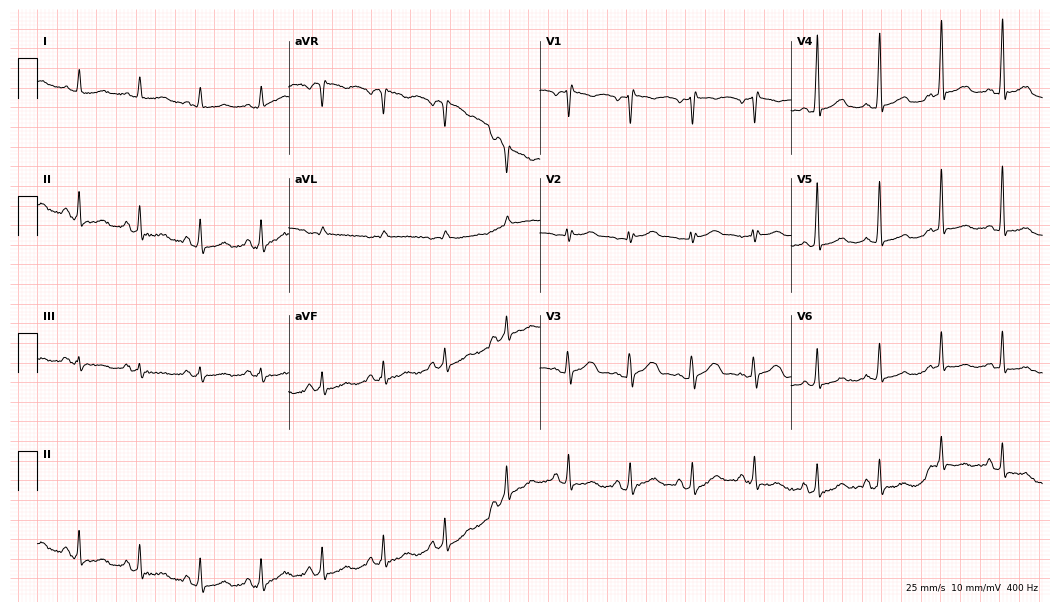
12-lead ECG from a 46-year-old female. Screened for six findings — first-degree AV block, right bundle branch block (RBBB), left bundle branch block (LBBB), sinus bradycardia, atrial fibrillation (AF), sinus tachycardia — none is recorded.